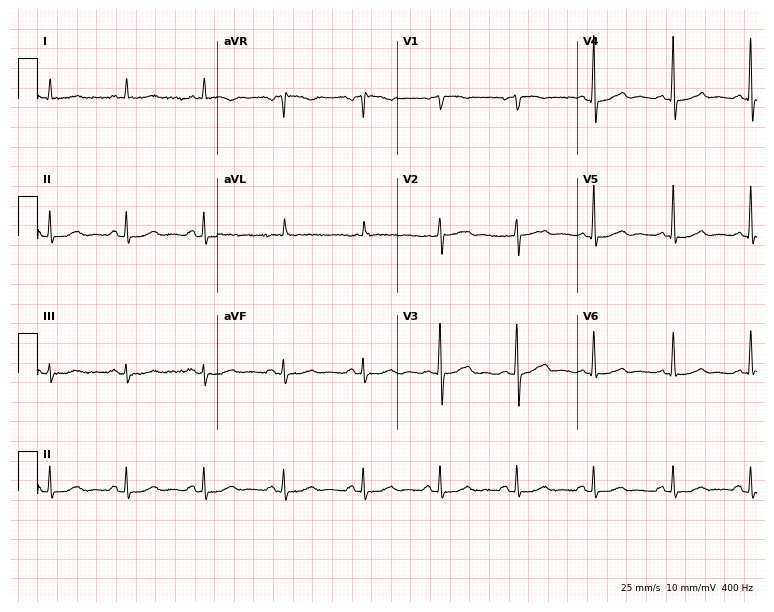
Resting 12-lead electrocardiogram (7.3-second recording at 400 Hz). Patient: a female, 76 years old. Read as a normal ECG.